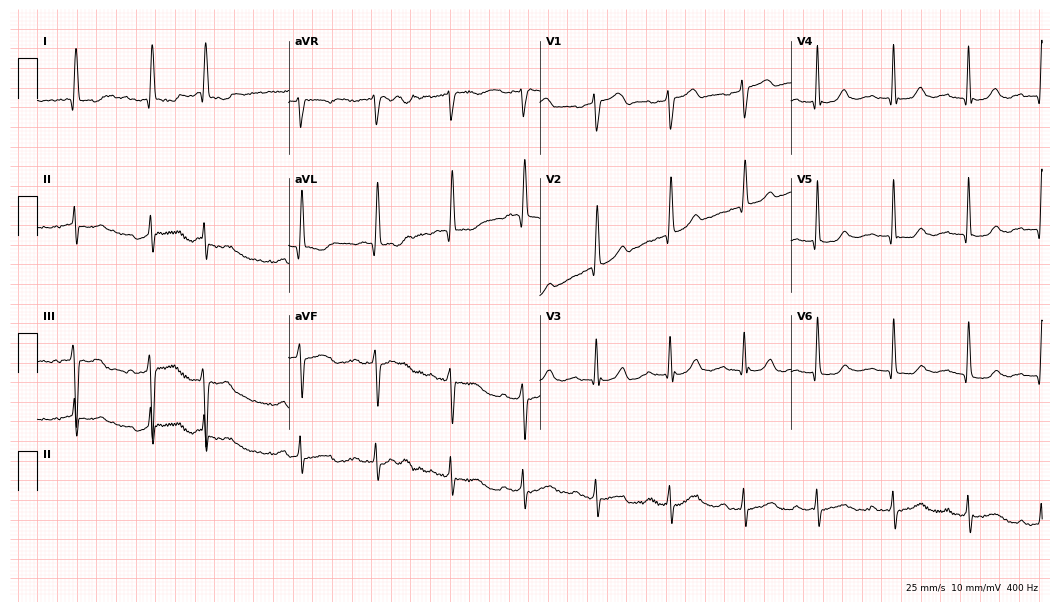
Resting 12-lead electrocardiogram. Patient: an 83-year-old woman. None of these six findings is recorded: first-degree AV block, right bundle branch block, left bundle branch block, sinus bradycardia, atrial fibrillation, sinus tachycardia. Only these six findings were labelled.